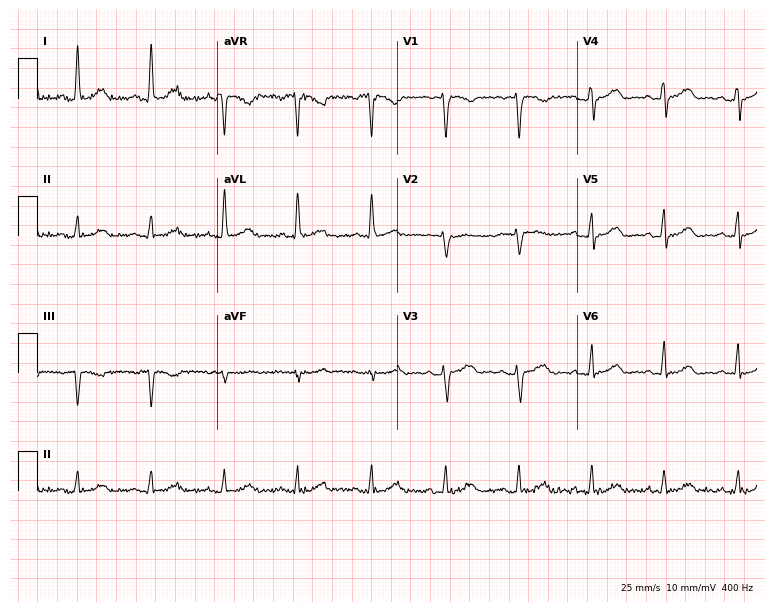
12-lead ECG from a female, 54 years old (7.3-second recording at 400 Hz). Recorded interpretation: within normal limits.